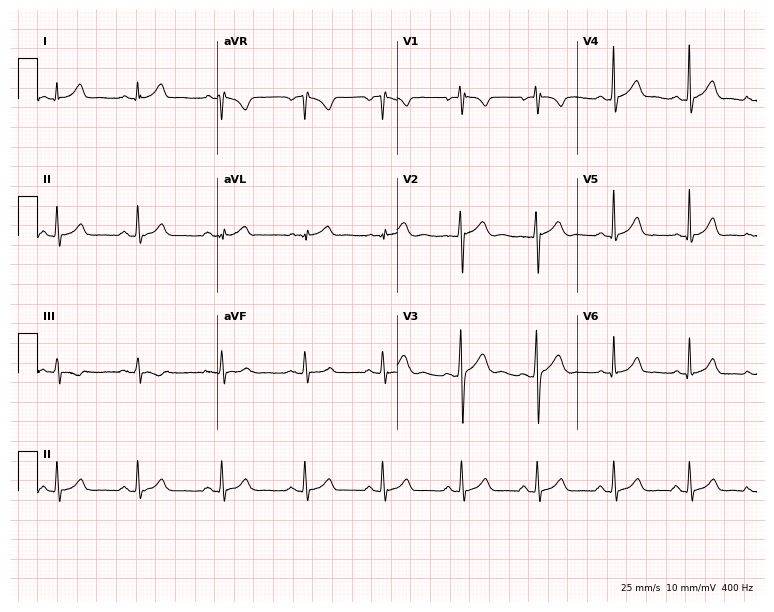
Standard 12-lead ECG recorded from a 22-year-old male (7.3-second recording at 400 Hz). Read as a normal ECG.